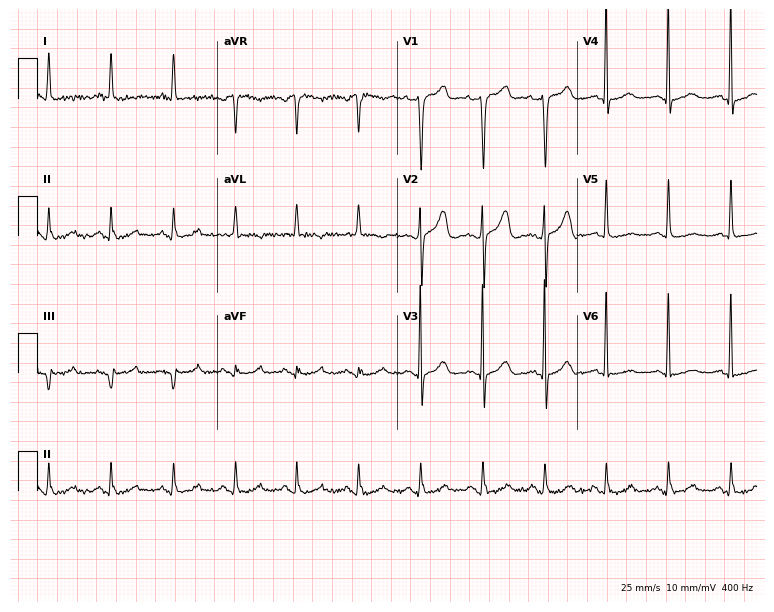
ECG — an 81-year-old woman. Screened for six findings — first-degree AV block, right bundle branch block, left bundle branch block, sinus bradycardia, atrial fibrillation, sinus tachycardia — none is recorded.